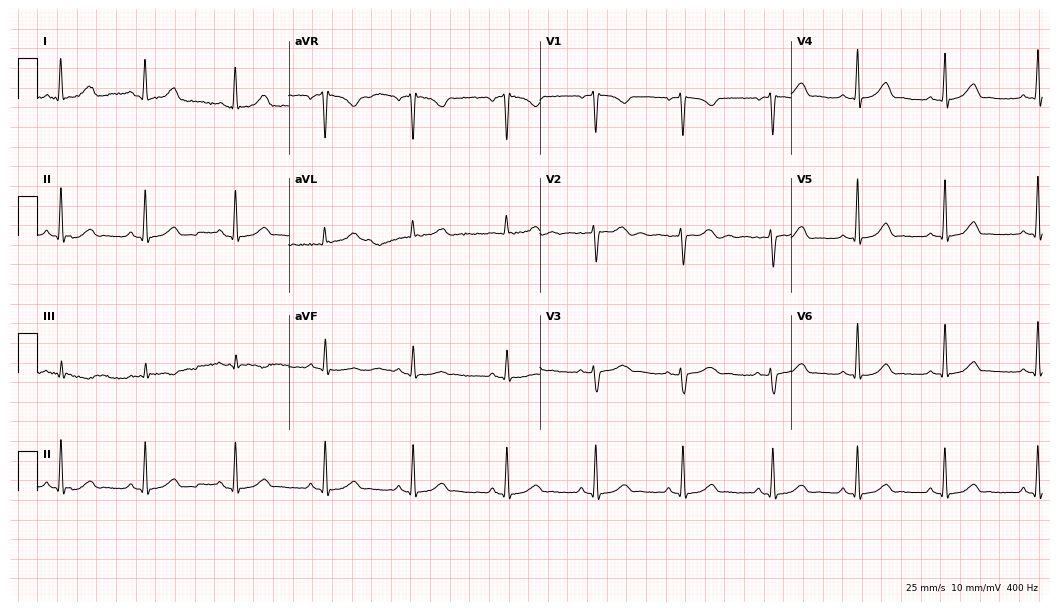
Resting 12-lead electrocardiogram (10.2-second recording at 400 Hz). Patient: a female, 32 years old. Read as a normal ECG.